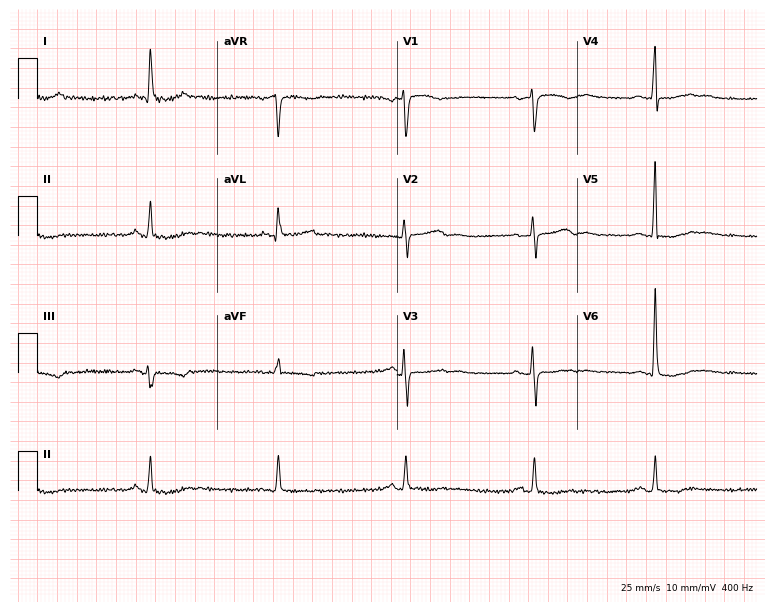
Standard 12-lead ECG recorded from a 67-year-old female. The tracing shows sinus bradycardia (a sinus rate of 50 beats per minute or less).